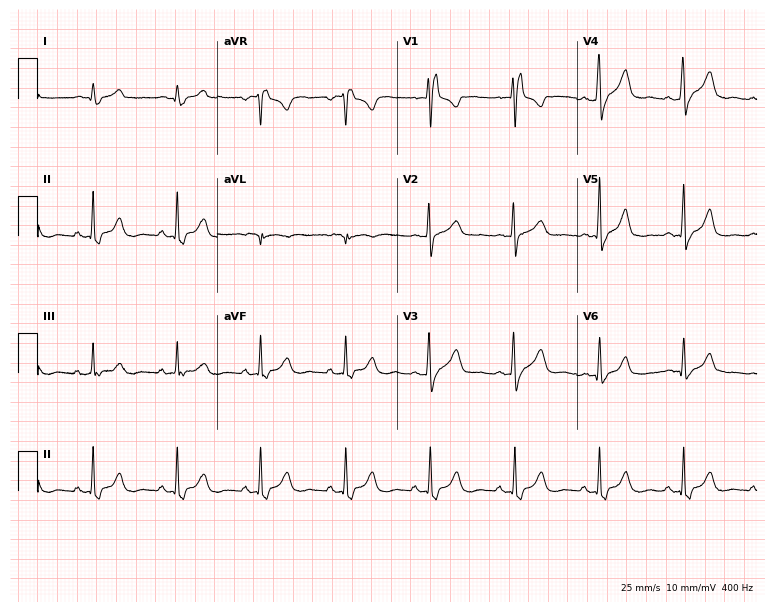
ECG (7.3-second recording at 400 Hz) — a 40-year-old female. Findings include right bundle branch block.